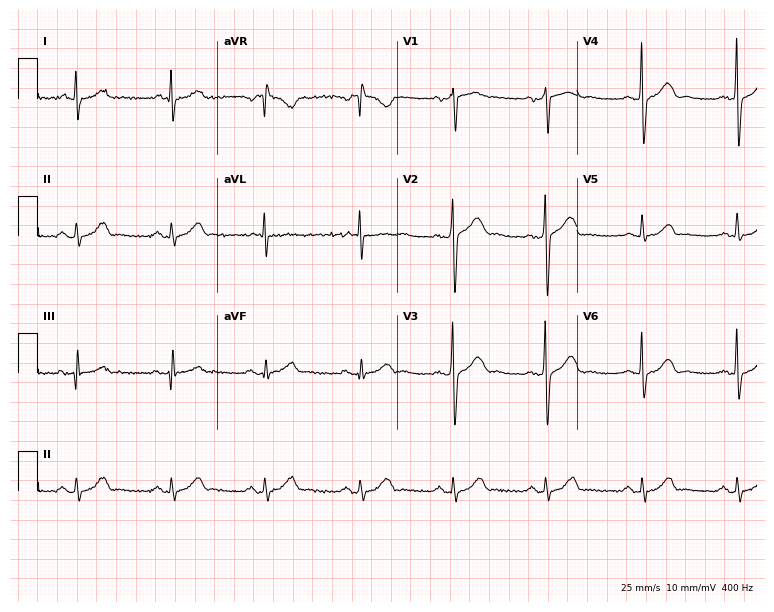
Resting 12-lead electrocardiogram (7.3-second recording at 400 Hz). Patient: a male, 53 years old. Read as a normal ECG.